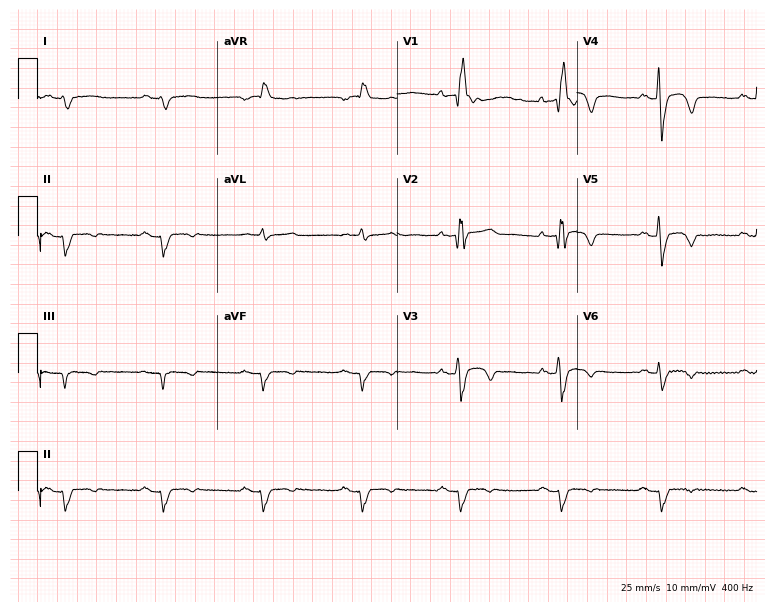
Electrocardiogram (7.3-second recording at 400 Hz), a male patient, 60 years old. Of the six screened findings (first-degree AV block, right bundle branch block, left bundle branch block, sinus bradycardia, atrial fibrillation, sinus tachycardia), none is recorded.